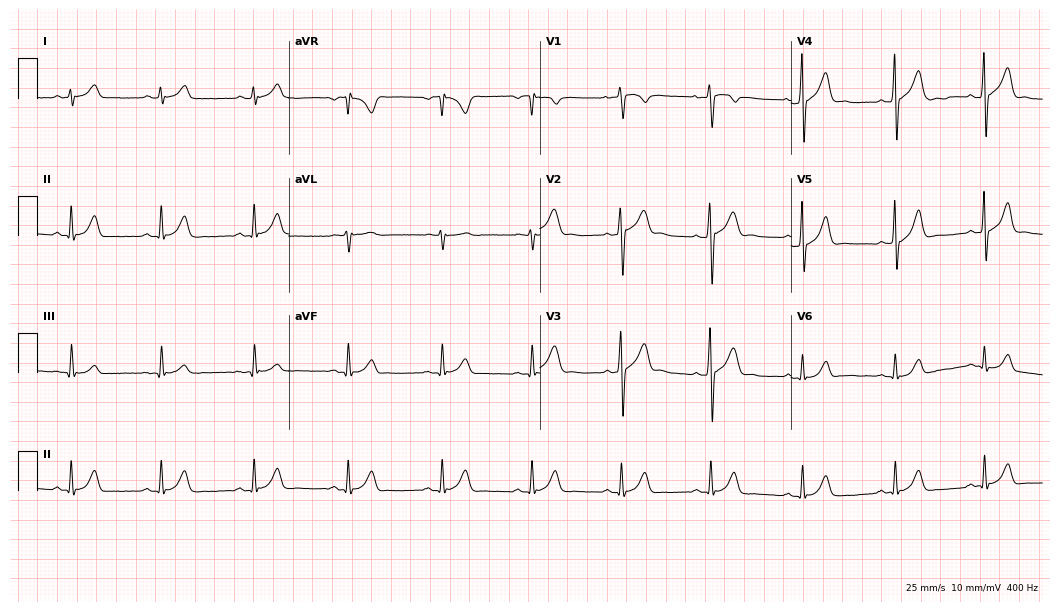
12-lead ECG from a male patient, 21 years old (10.2-second recording at 400 Hz). Recorded interpretation: within normal limits.